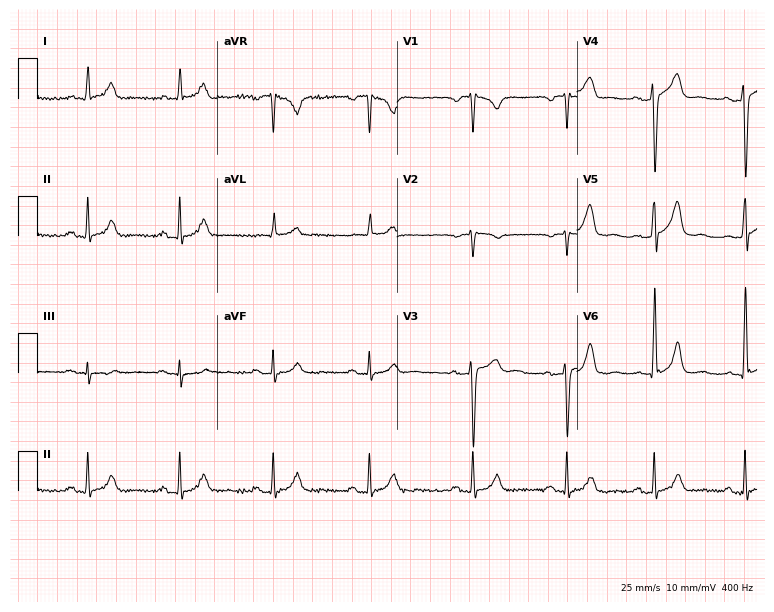
Standard 12-lead ECG recorded from a 47-year-old male (7.3-second recording at 400 Hz). Read as a normal ECG.